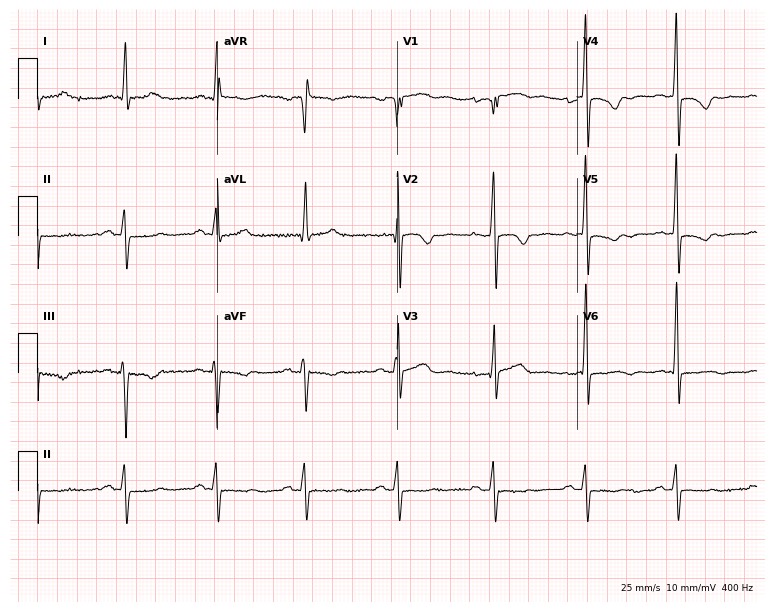
ECG (7.3-second recording at 400 Hz) — a male, 43 years old. Screened for six findings — first-degree AV block, right bundle branch block (RBBB), left bundle branch block (LBBB), sinus bradycardia, atrial fibrillation (AF), sinus tachycardia — none is recorded.